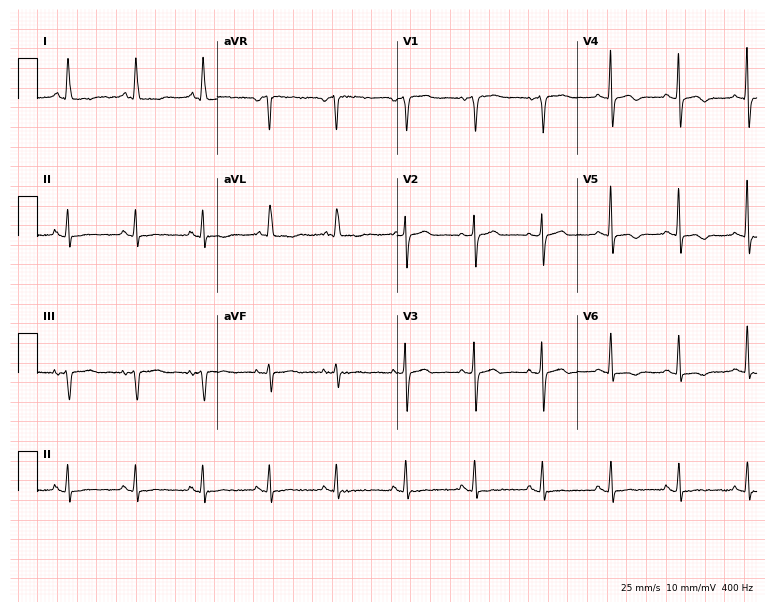
Resting 12-lead electrocardiogram (7.3-second recording at 400 Hz). Patient: a female, 81 years old. None of these six findings is recorded: first-degree AV block, right bundle branch block, left bundle branch block, sinus bradycardia, atrial fibrillation, sinus tachycardia. Findings outside these six are not listed.